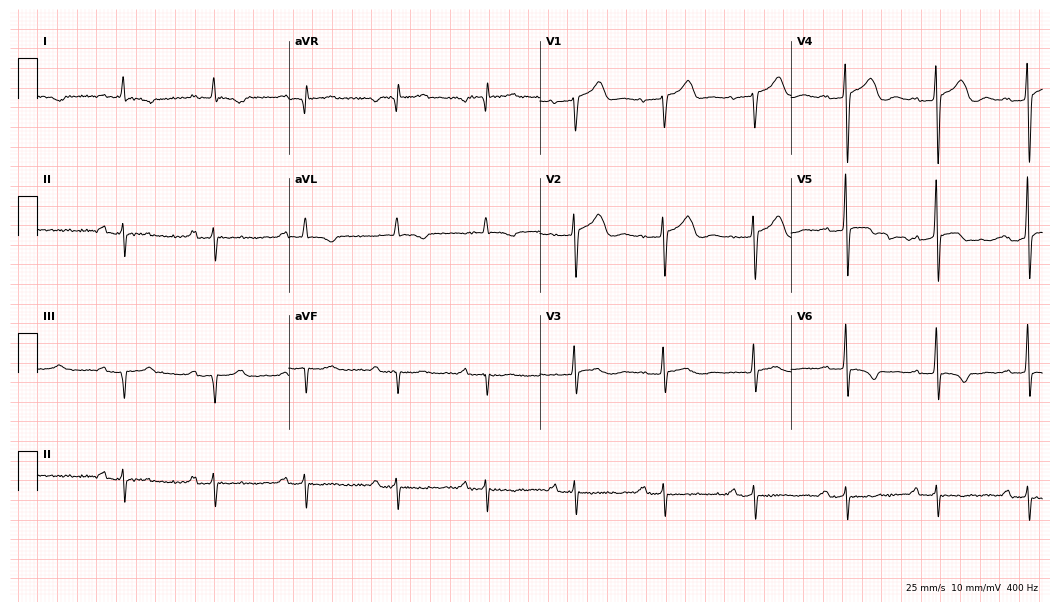
Electrocardiogram (10.2-second recording at 400 Hz), a male patient, 71 years old. Interpretation includes first-degree AV block.